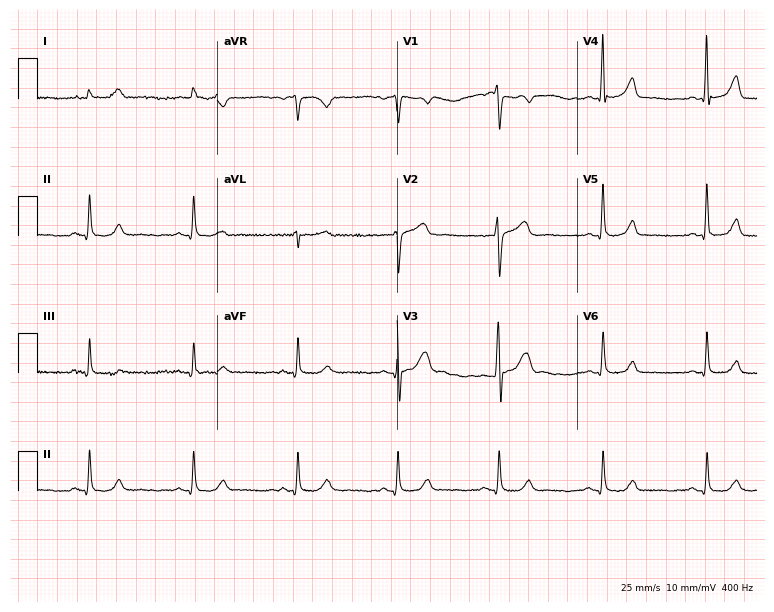
ECG (7.3-second recording at 400 Hz) — a 37-year-old man. Labelled as a normal ECG.